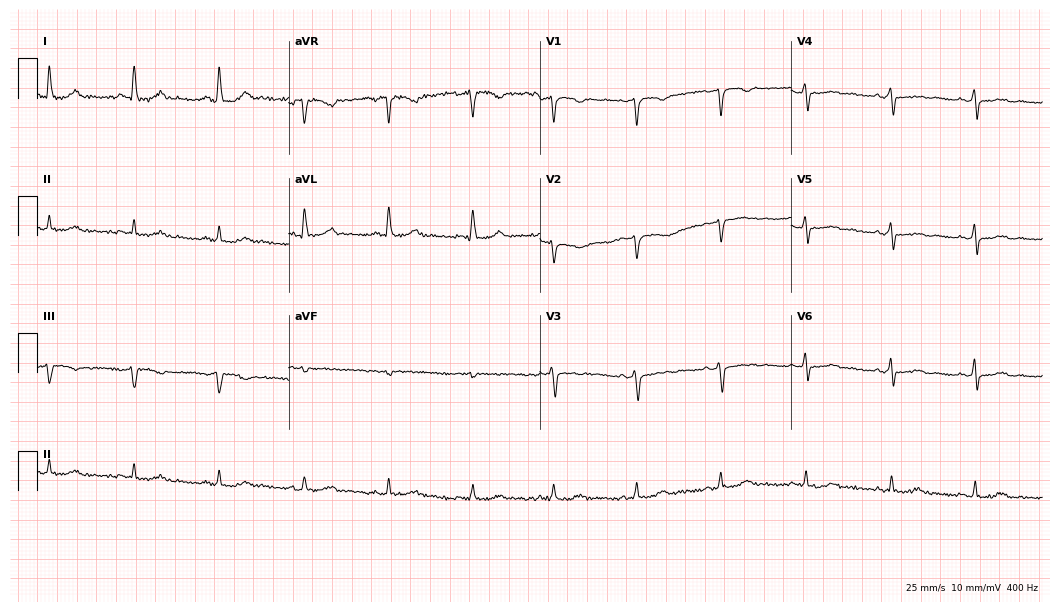
12-lead ECG (10.2-second recording at 400 Hz) from a 44-year-old woman. Screened for six findings — first-degree AV block, right bundle branch block, left bundle branch block, sinus bradycardia, atrial fibrillation, sinus tachycardia — none is recorded.